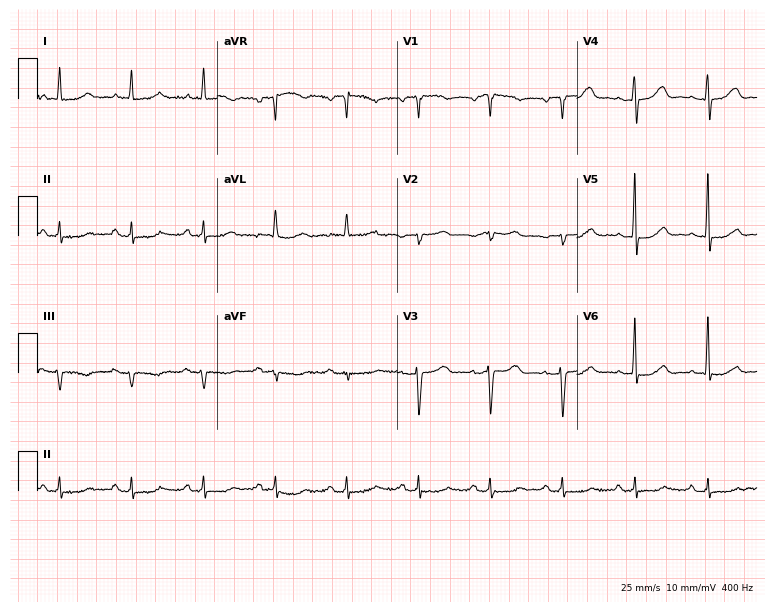
12-lead ECG from a female patient, 76 years old. Labelled as a normal ECG.